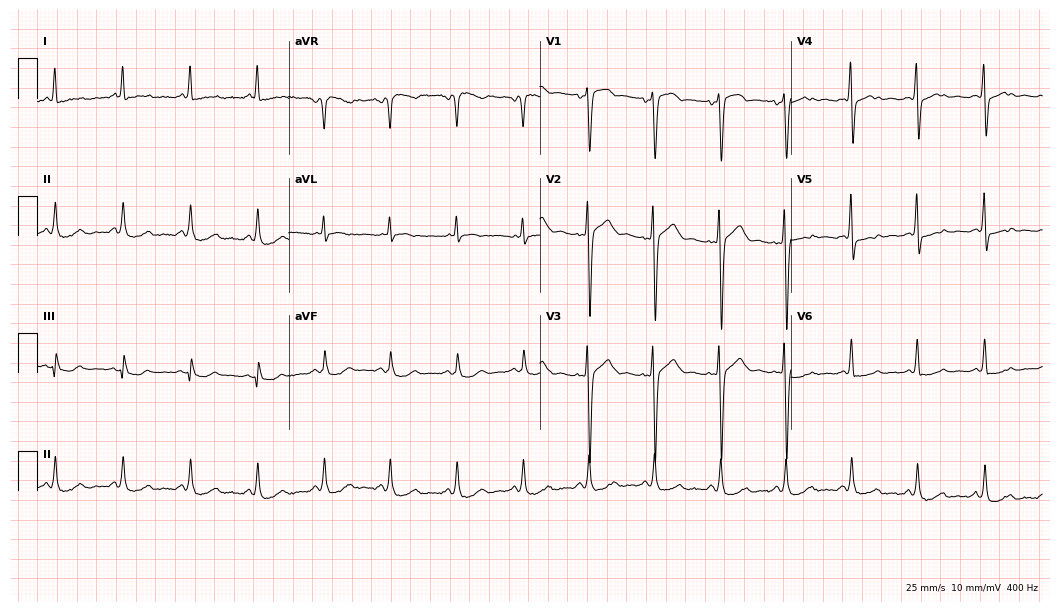
12-lead ECG (10.2-second recording at 400 Hz) from a man, 53 years old. Screened for six findings — first-degree AV block, right bundle branch block, left bundle branch block, sinus bradycardia, atrial fibrillation, sinus tachycardia — none is recorded.